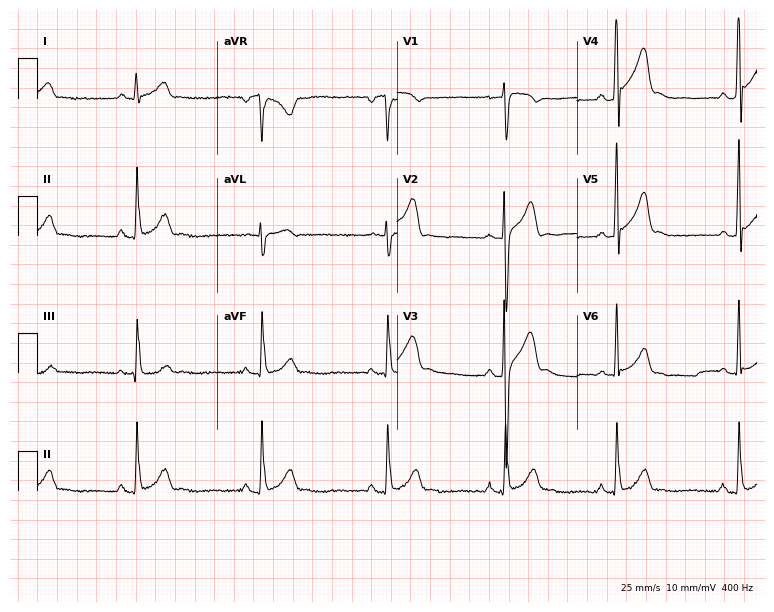
ECG — a man, 31 years old. Screened for six findings — first-degree AV block, right bundle branch block (RBBB), left bundle branch block (LBBB), sinus bradycardia, atrial fibrillation (AF), sinus tachycardia — none is recorded.